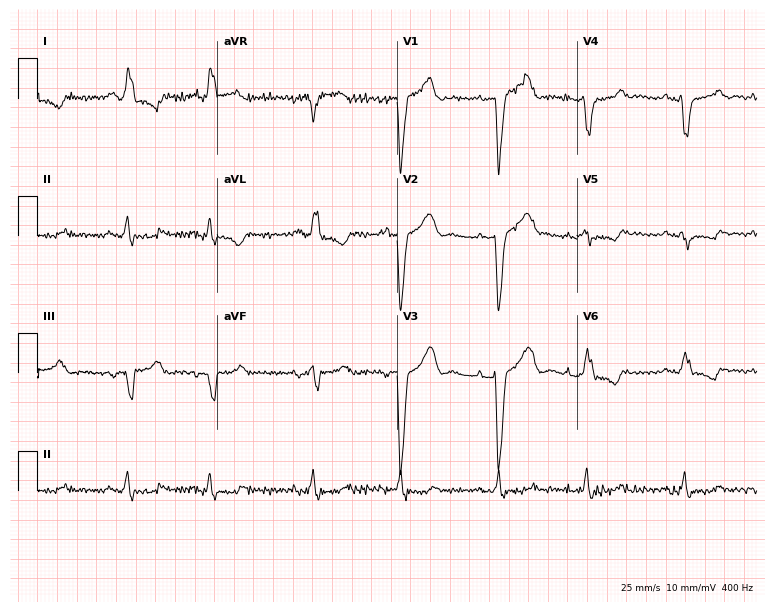
Resting 12-lead electrocardiogram (7.3-second recording at 400 Hz). Patient: a 68-year-old female. None of these six findings is recorded: first-degree AV block, right bundle branch block, left bundle branch block, sinus bradycardia, atrial fibrillation, sinus tachycardia. Only these six findings were labelled.